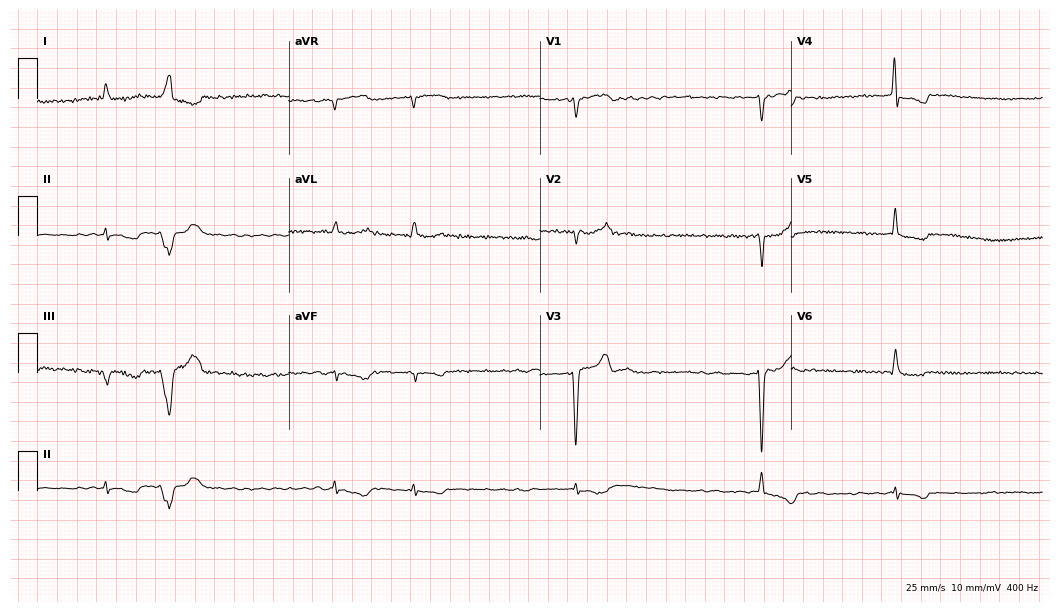
Electrocardiogram, a 51-year-old male patient. Interpretation includes atrial fibrillation (AF).